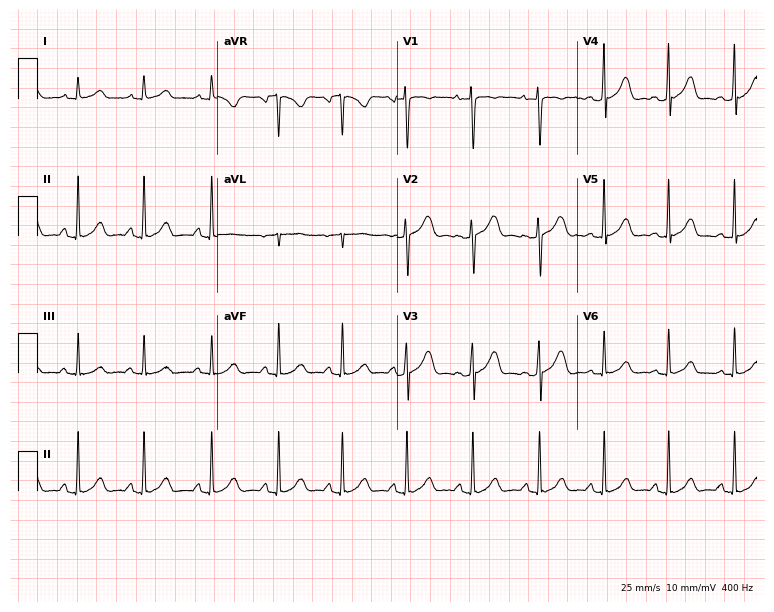
Electrocardiogram (7.3-second recording at 400 Hz), a 17-year-old woman. Of the six screened findings (first-degree AV block, right bundle branch block, left bundle branch block, sinus bradycardia, atrial fibrillation, sinus tachycardia), none is recorded. Findings outside these six are not listed.